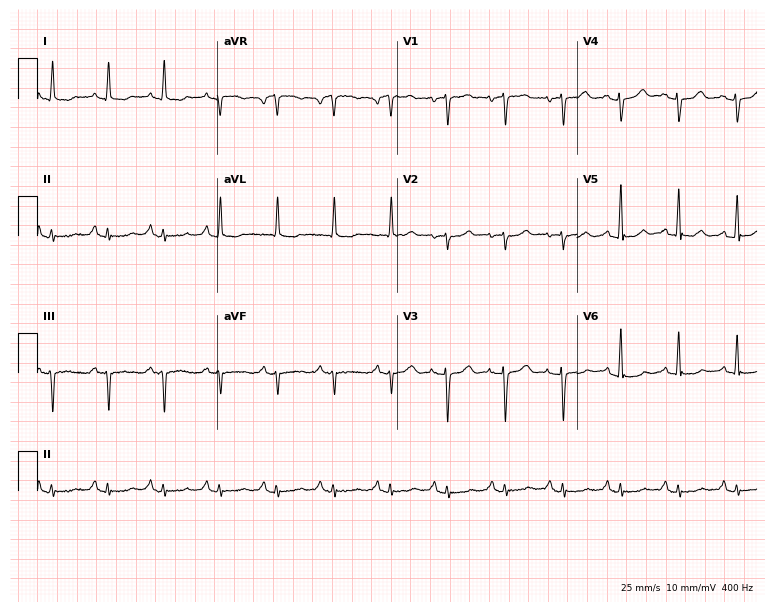
ECG (7.3-second recording at 400 Hz) — a 75-year-old female patient. Findings include sinus tachycardia (a sinus rate of 100 beats per minute or more).